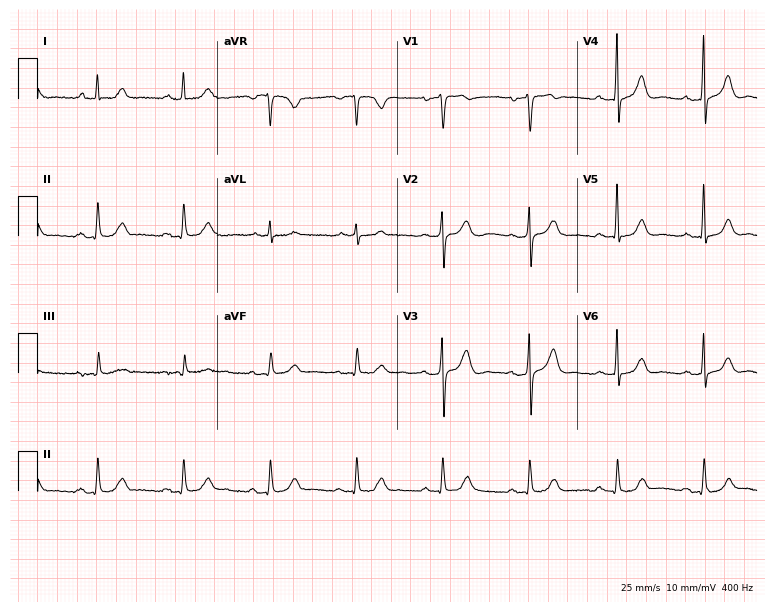
ECG — a man, 76 years old. Labelled as a normal ECG.